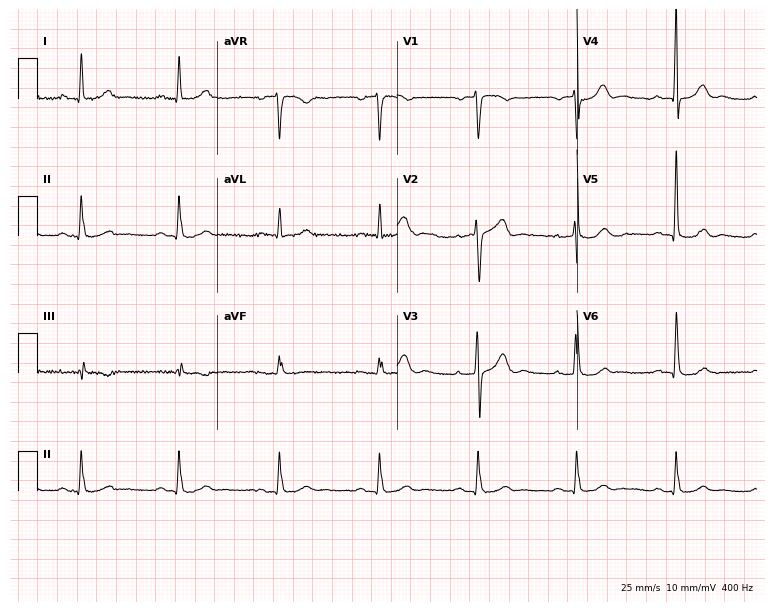
Standard 12-lead ECG recorded from a 64-year-old male patient (7.3-second recording at 400 Hz). Read as a normal ECG.